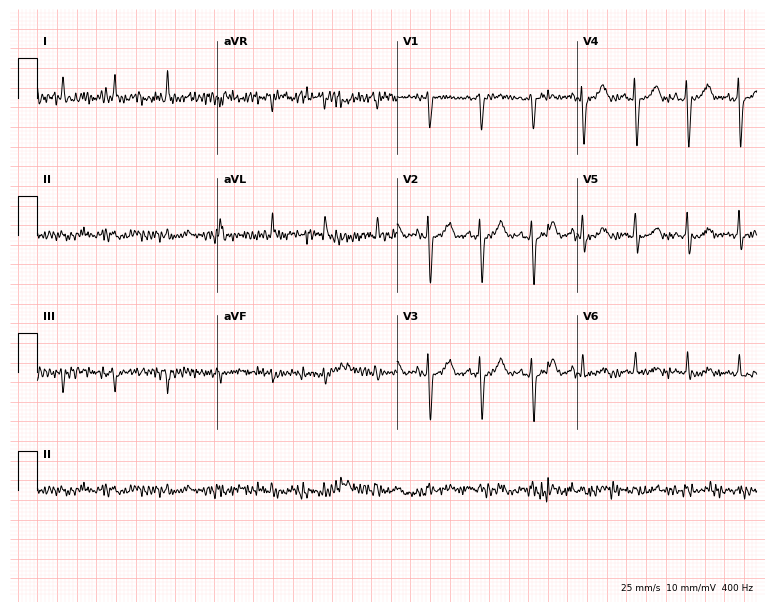
Resting 12-lead electrocardiogram. Patient: a woman, 78 years old. None of these six findings is recorded: first-degree AV block, right bundle branch block, left bundle branch block, sinus bradycardia, atrial fibrillation, sinus tachycardia. Findings outside these six are not listed.